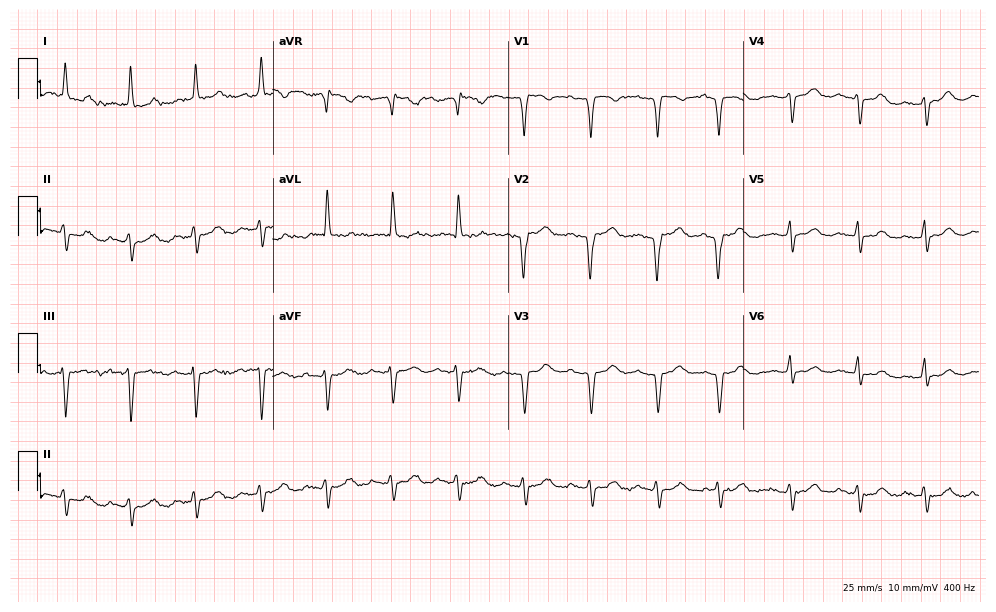
Standard 12-lead ECG recorded from an 85-year-old female. None of these six findings is recorded: first-degree AV block, right bundle branch block (RBBB), left bundle branch block (LBBB), sinus bradycardia, atrial fibrillation (AF), sinus tachycardia.